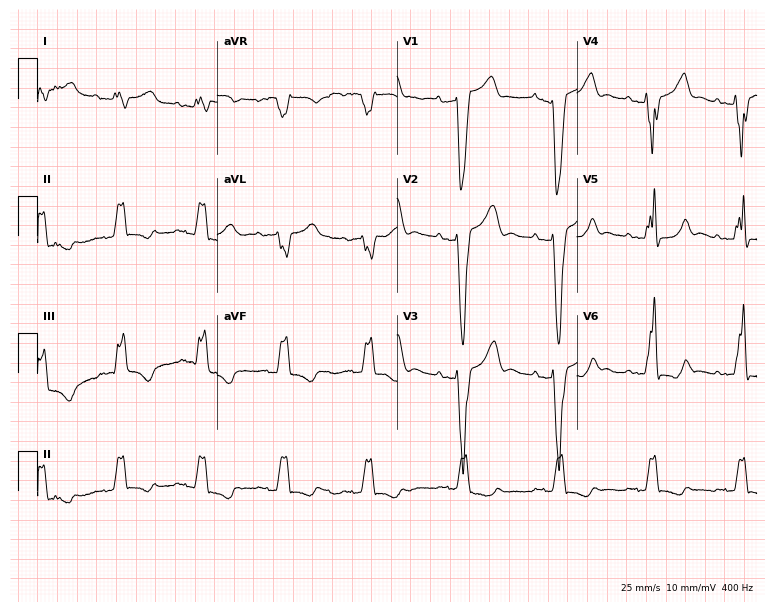
ECG — a male, 75 years old. Findings include left bundle branch block (LBBB).